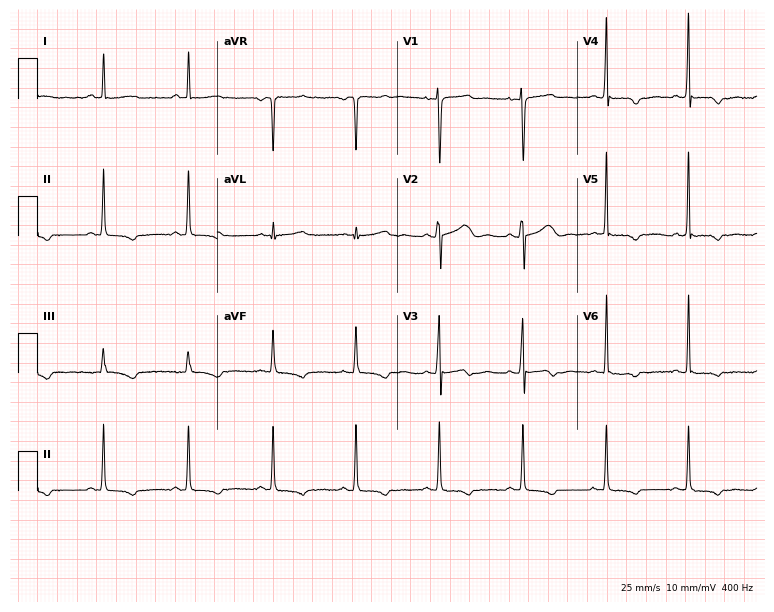
Standard 12-lead ECG recorded from a 31-year-old woman. None of these six findings is recorded: first-degree AV block, right bundle branch block (RBBB), left bundle branch block (LBBB), sinus bradycardia, atrial fibrillation (AF), sinus tachycardia. Other findings, if any, are not listed.